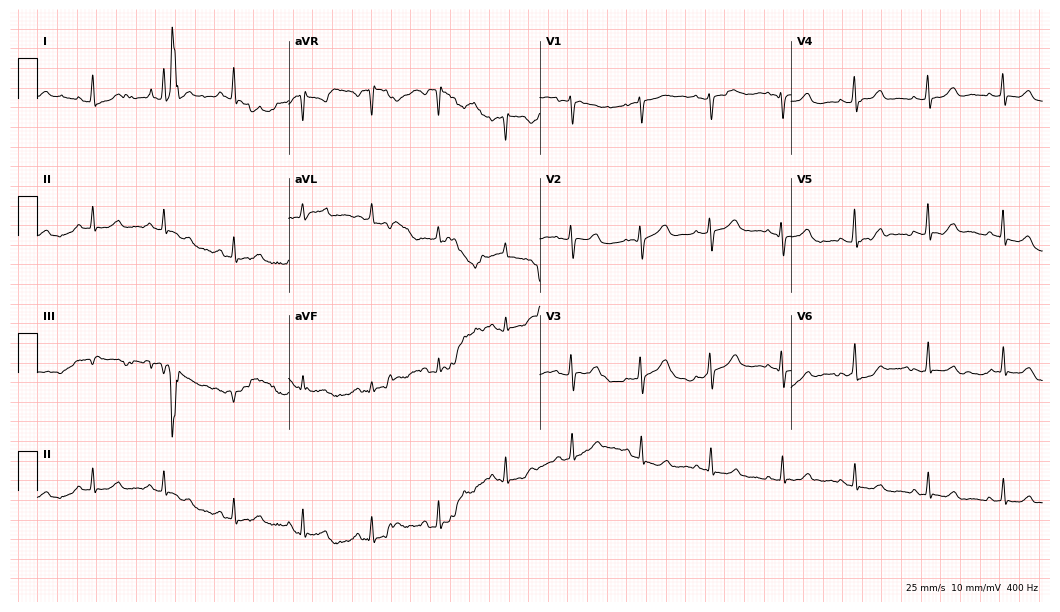
12-lead ECG (10.2-second recording at 400 Hz) from a 62-year-old woman. Screened for six findings — first-degree AV block, right bundle branch block, left bundle branch block, sinus bradycardia, atrial fibrillation, sinus tachycardia — none is recorded.